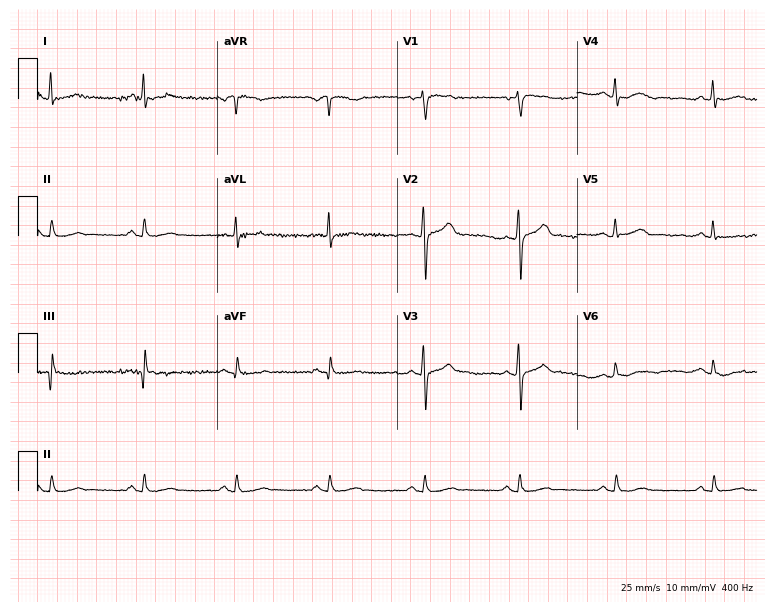
Electrocardiogram (7.3-second recording at 400 Hz), a man, 59 years old. Of the six screened findings (first-degree AV block, right bundle branch block, left bundle branch block, sinus bradycardia, atrial fibrillation, sinus tachycardia), none is recorded. Other findings, if any, are not listed.